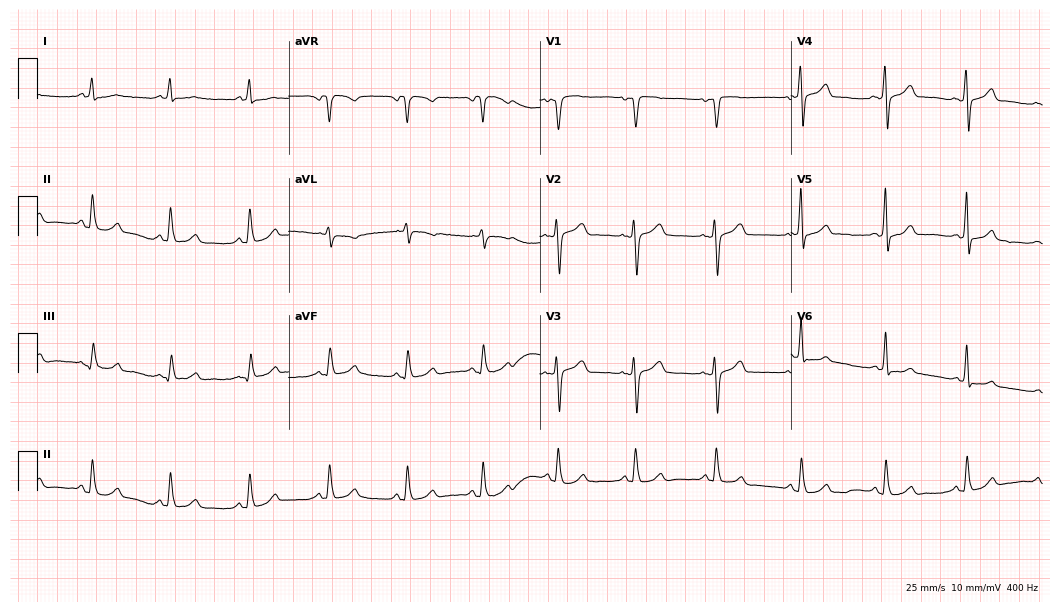
12-lead ECG from a 64-year-old female patient (10.2-second recording at 400 Hz). Recorded interpretation: within normal limits.